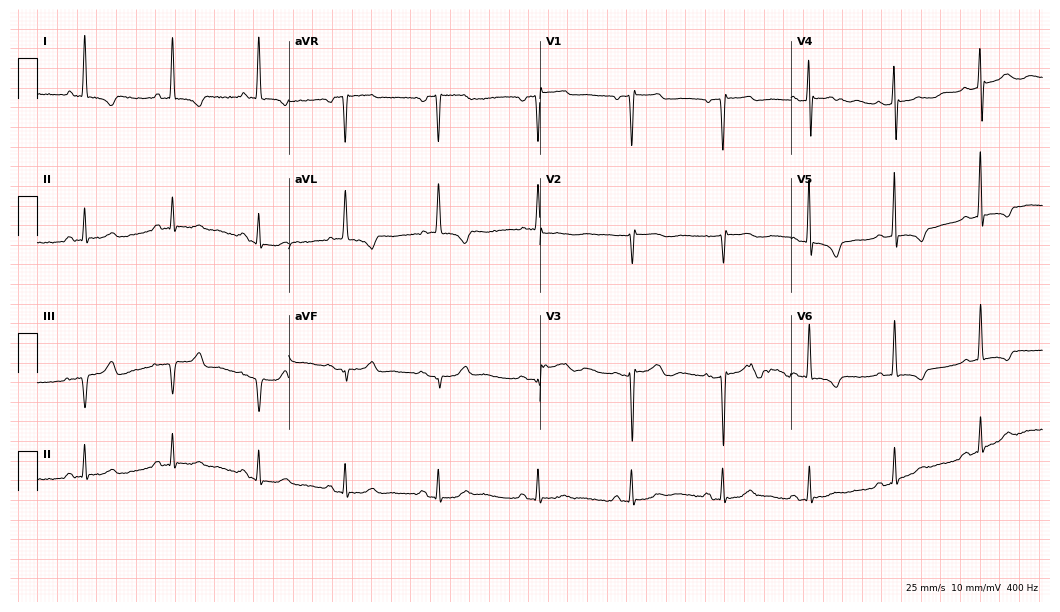
Standard 12-lead ECG recorded from a 72-year-old female. None of these six findings is recorded: first-degree AV block, right bundle branch block (RBBB), left bundle branch block (LBBB), sinus bradycardia, atrial fibrillation (AF), sinus tachycardia. Findings outside these six are not listed.